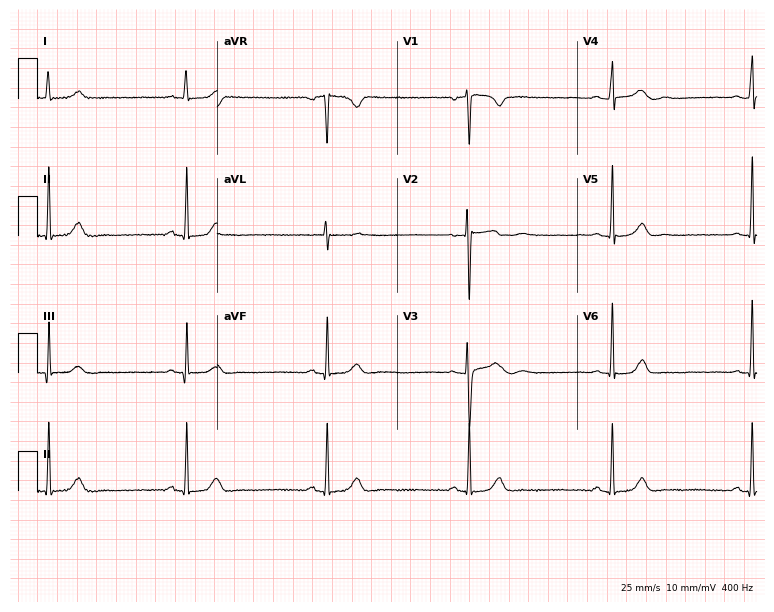
Standard 12-lead ECG recorded from a 29-year-old female. The tracing shows sinus bradycardia (a sinus rate of 50 beats per minute or less).